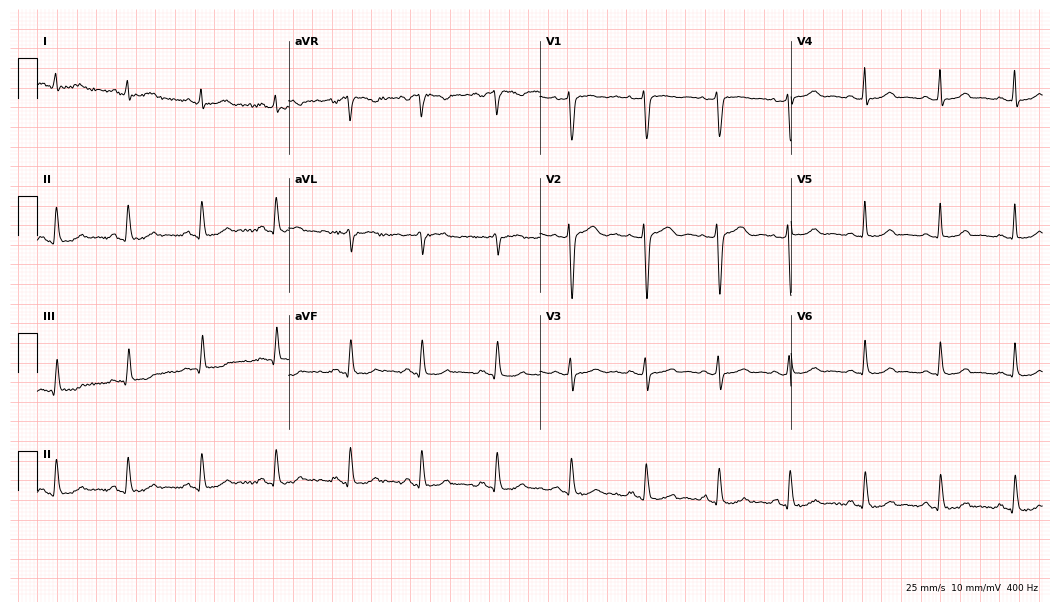
12-lead ECG from a female patient, 39 years old (10.2-second recording at 400 Hz). Recorded interpretation: within normal limits.